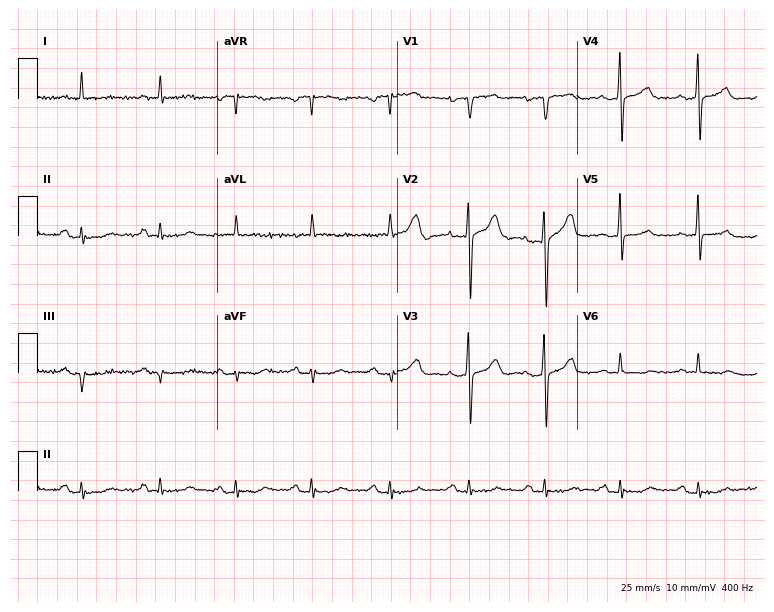
Resting 12-lead electrocardiogram. Patient: a male, 72 years old. None of these six findings is recorded: first-degree AV block, right bundle branch block, left bundle branch block, sinus bradycardia, atrial fibrillation, sinus tachycardia.